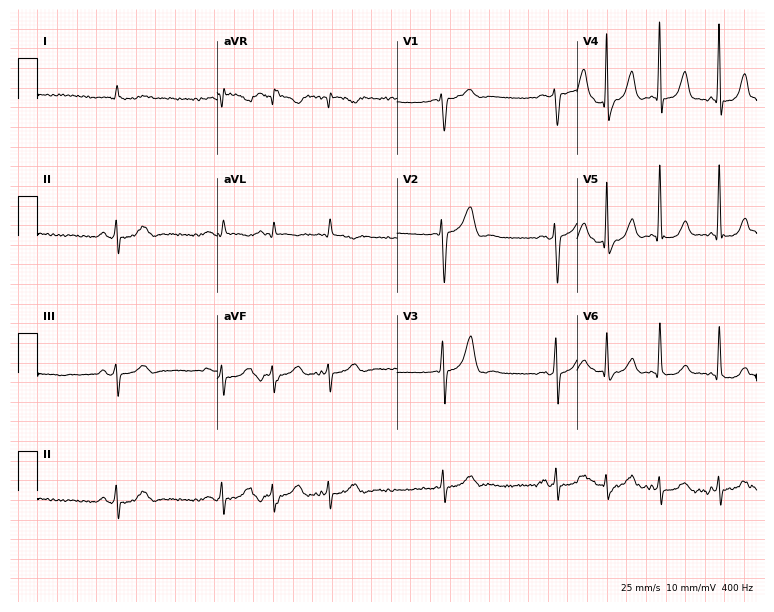
ECG — a male patient, 72 years old. Screened for six findings — first-degree AV block, right bundle branch block, left bundle branch block, sinus bradycardia, atrial fibrillation, sinus tachycardia — none is recorded.